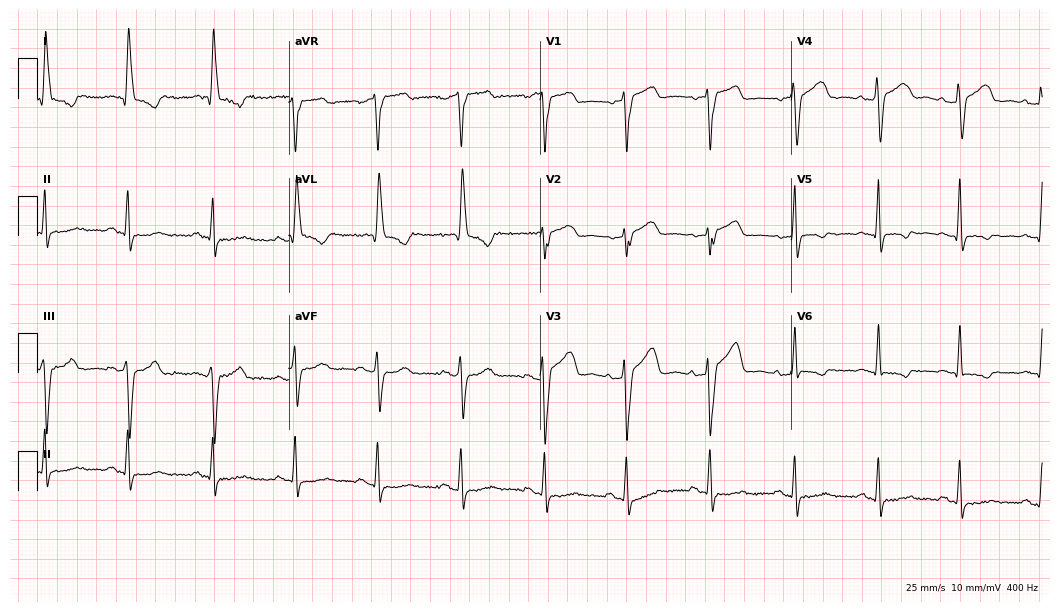
Standard 12-lead ECG recorded from a 79-year-old female patient. The tracing shows left bundle branch block.